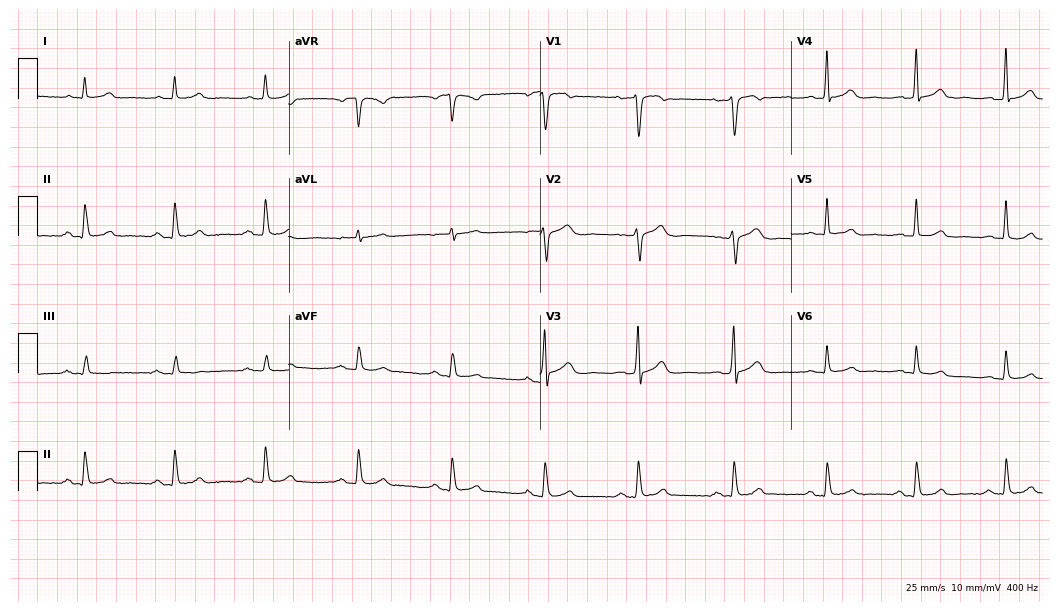
12-lead ECG from a male patient, 74 years old. Labelled as a normal ECG.